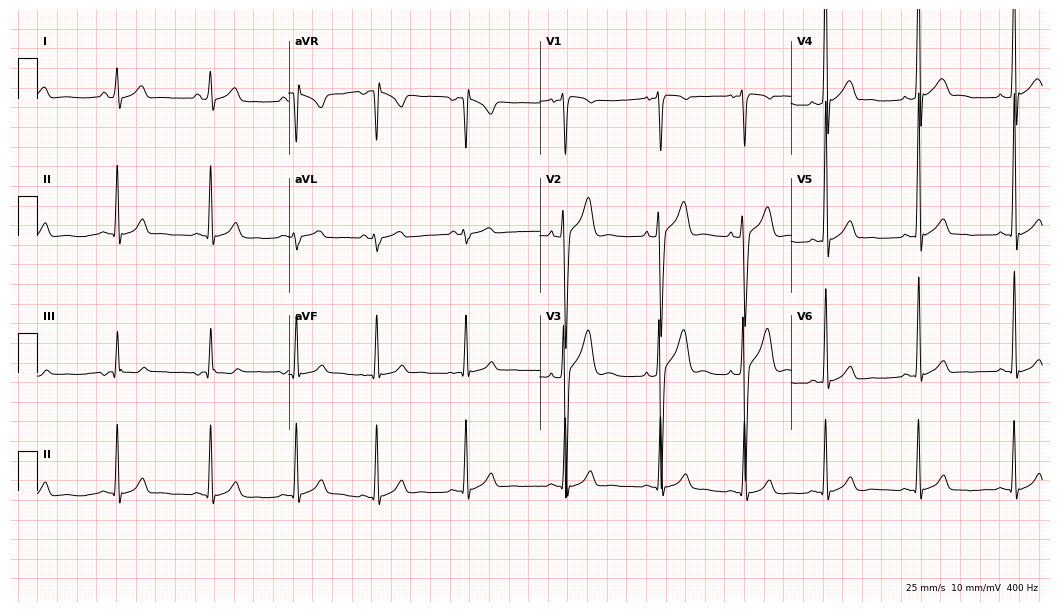
12-lead ECG from a man, 19 years old (10.2-second recording at 400 Hz). Recorded interpretation: within normal limits.